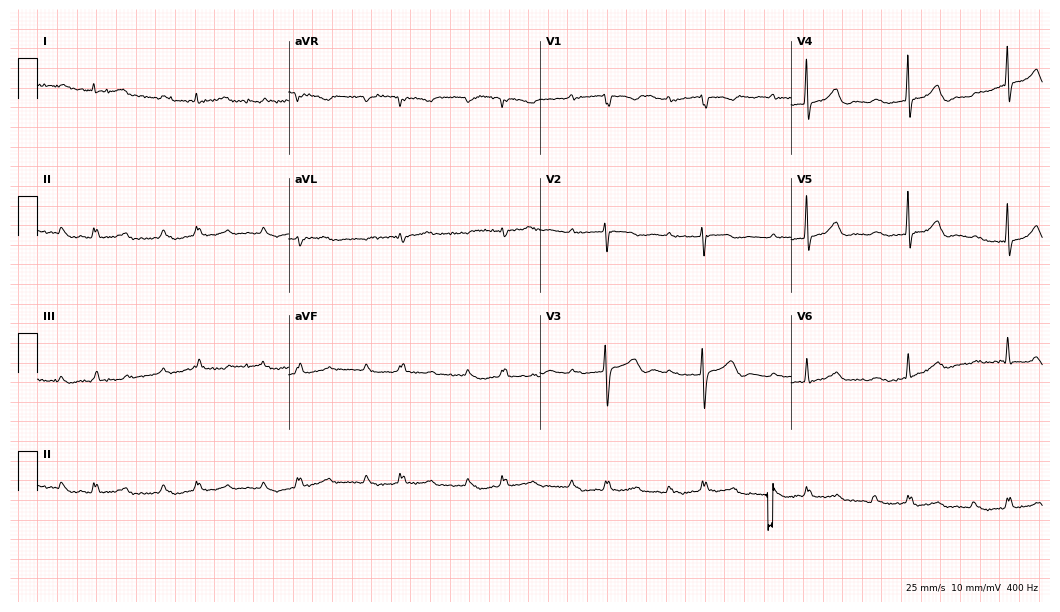
Standard 12-lead ECG recorded from a male, 59 years old (10.2-second recording at 400 Hz). The tracing shows first-degree AV block.